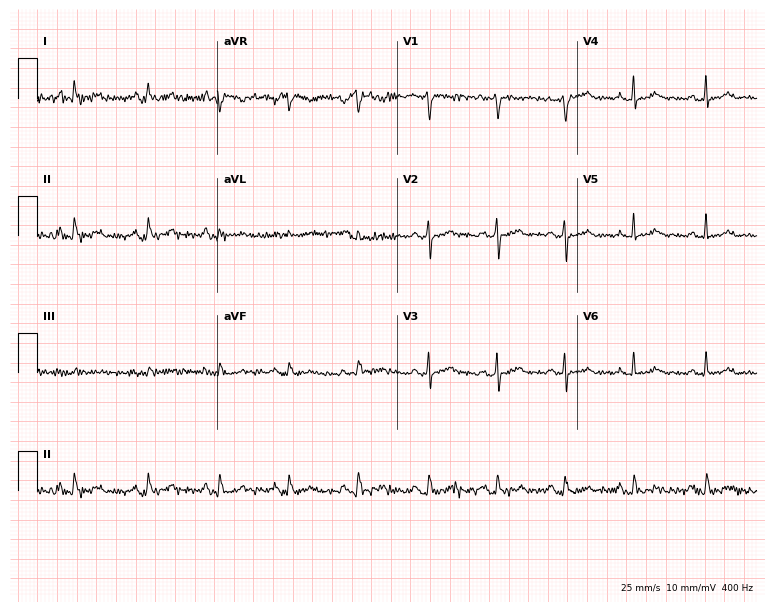
12-lead ECG (7.3-second recording at 400 Hz) from a male patient, 46 years old. Screened for six findings — first-degree AV block, right bundle branch block, left bundle branch block, sinus bradycardia, atrial fibrillation, sinus tachycardia — none is recorded.